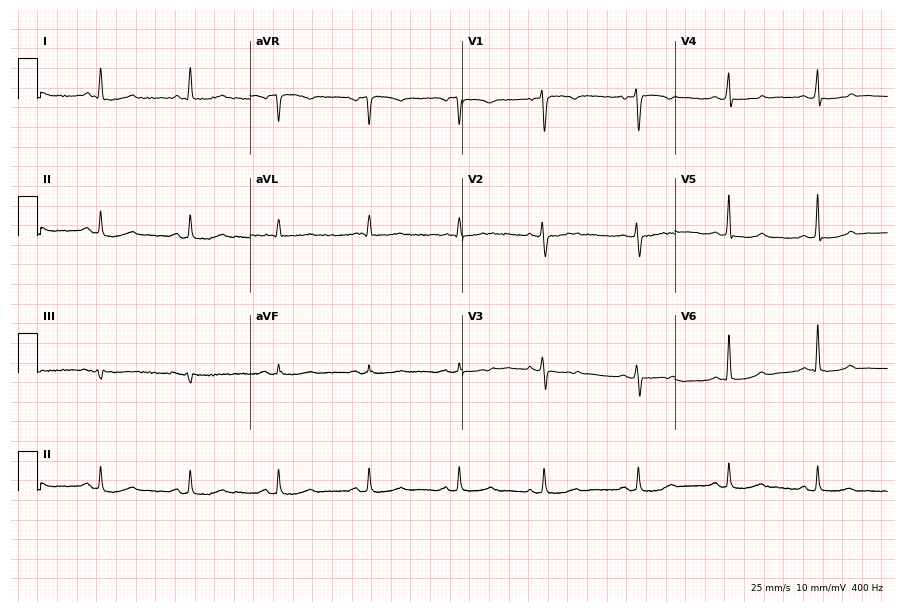
Resting 12-lead electrocardiogram. Patient: a 76-year-old female. None of these six findings is recorded: first-degree AV block, right bundle branch block (RBBB), left bundle branch block (LBBB), sinus bradycardia, atrial fibrillation (AF), sinus tachycardia. Findings outside these six are not listed.